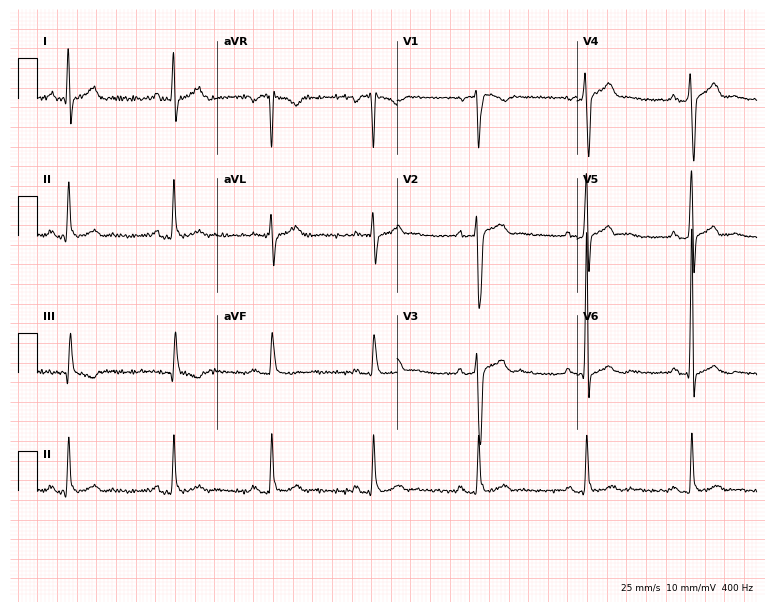
12-lead ECG from a 39-year-old male. Recorded interpretation: within normal limits.